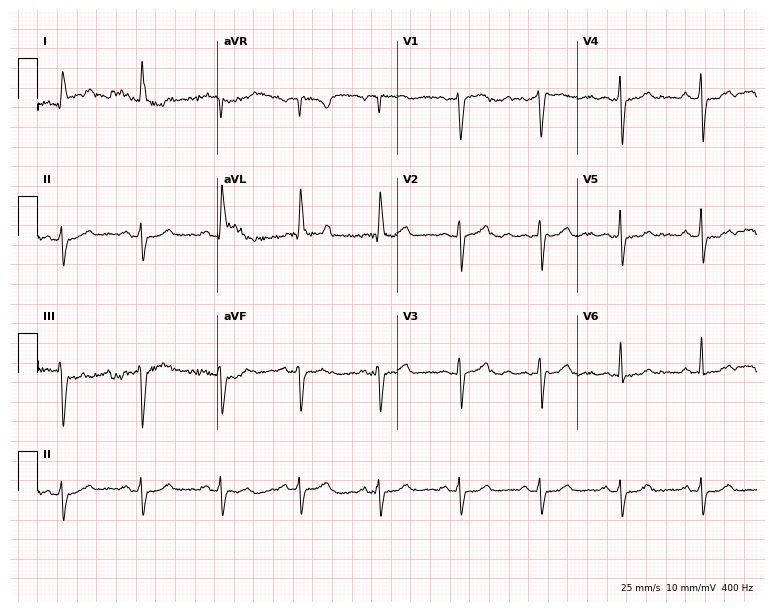
Standard 12-lead ECG recorded from a 61-year-old man (7.3-second recording at 400 Hz). None of these six findings is recorded: first-degree AV block, right bundle branch block, left bundle branch block, sinus bradycardia, atrial fibrillation, sinus tachycardia.